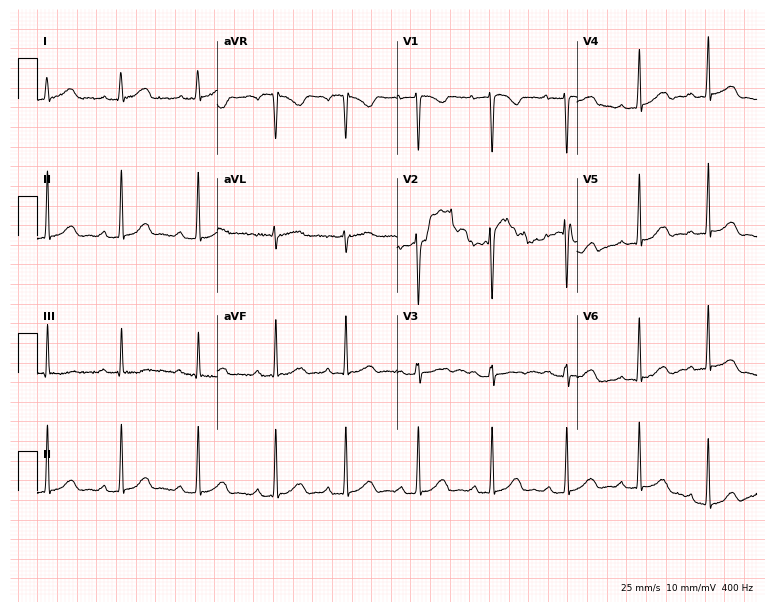
Standard 12-lead ECG recorded from a 25-year-old female. Read as a normal ECG.